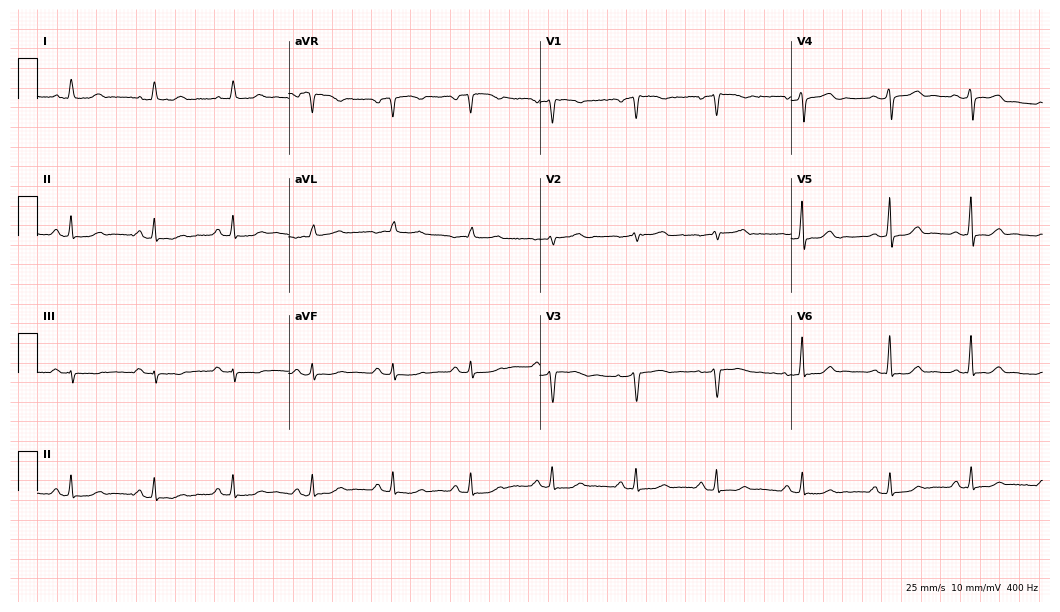
Electrocardiogram (10.2-second recording at 400 Hz), a female patient, 37 years old. Overall reading on record: normal ECG.